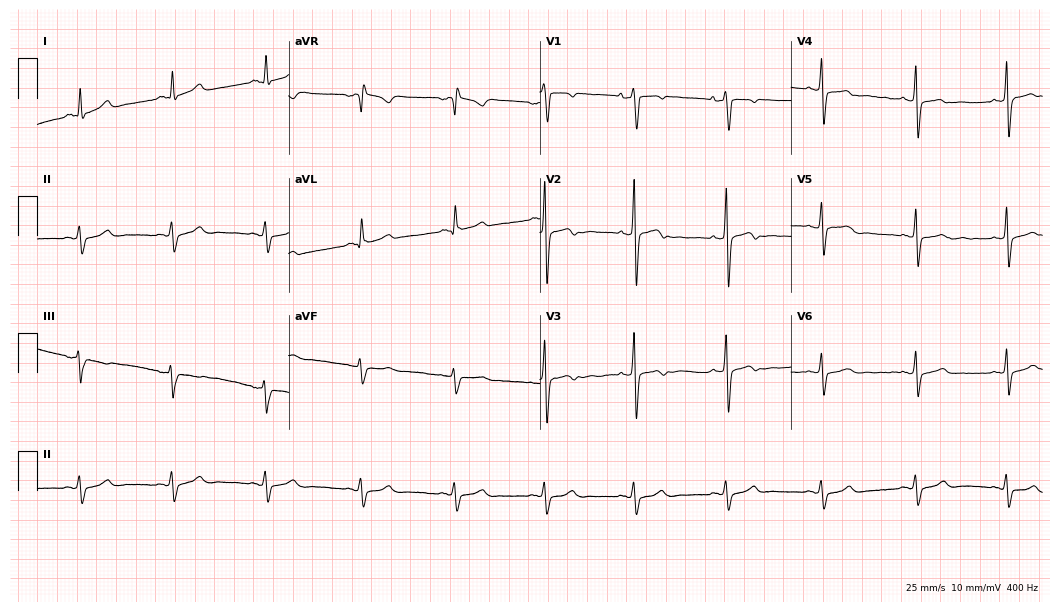
Electrocardiogram, a 35-year-old man. Of the six screened findings (first-degree AV block, right bundle branch block, left bundle branch block, sinus bradycardia, atrial fibrillation, sinus tachycardia), none is recorded.